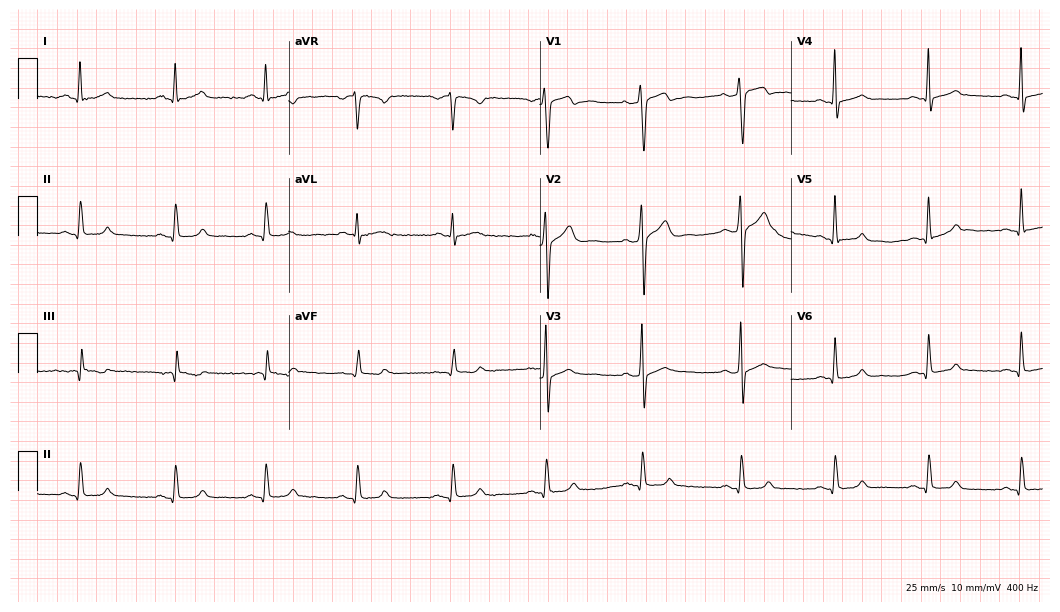
ECG (10.2-second recording at 400 Hz) — a man, 34 years old. Labelled as a normal ECG.